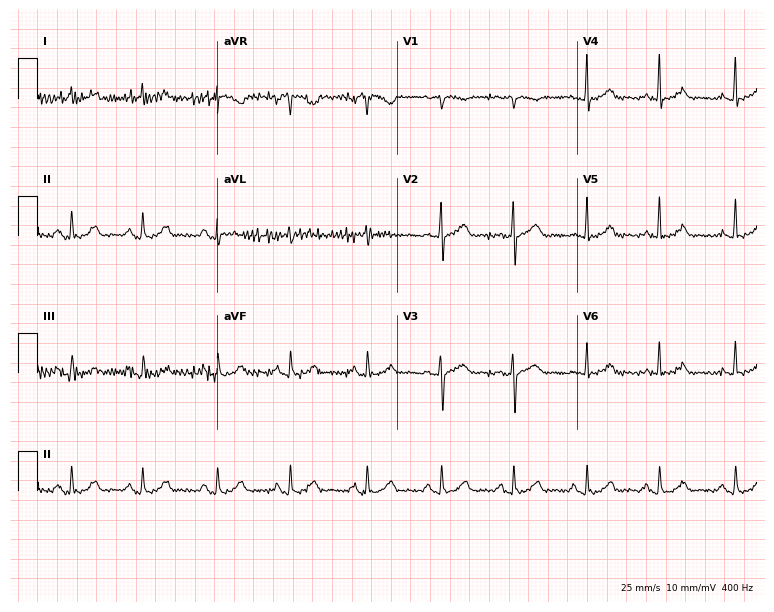
12-lead ECG from a 67-year-old female. Recorded interpretation: within normal limits.